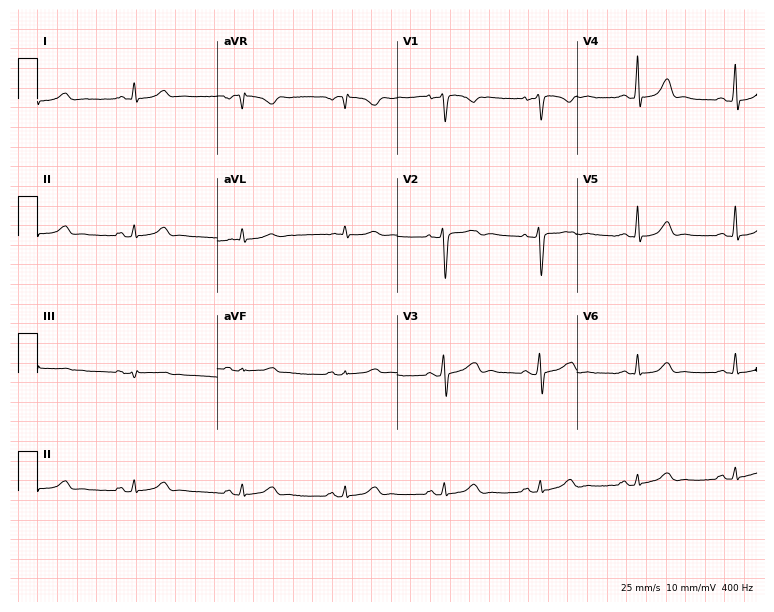
ECG (7.3-second recording at 400 Hz) — a female patient, 32 years old. Screened for six findings — first-degree AV block, right bundle branch block, left bundle branch block, sinus bradycardia, atrial fibrillation, sinus tachycardia — none is recorded.